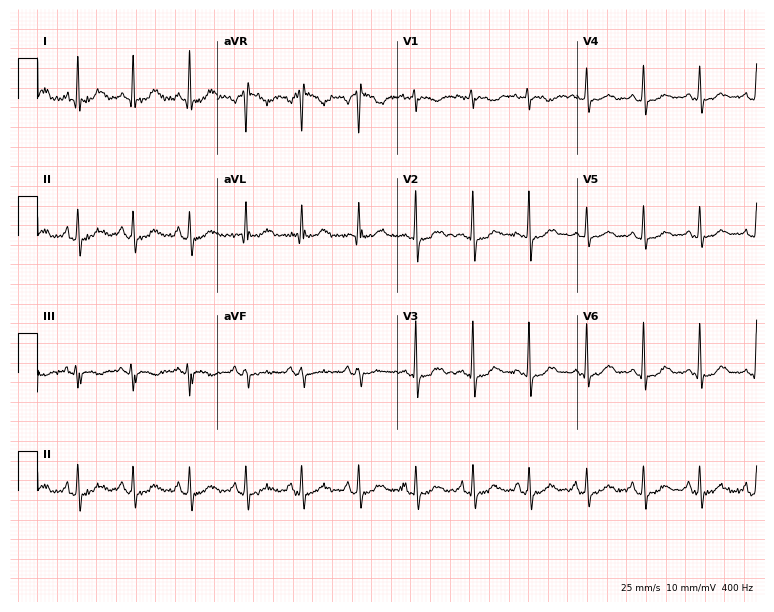
12-lead ECG from a 49-year-old woman (7.3-second recording at 400 Hz). Shows sinus tachycardia (a sinus rate of 100 beats per minute or more).